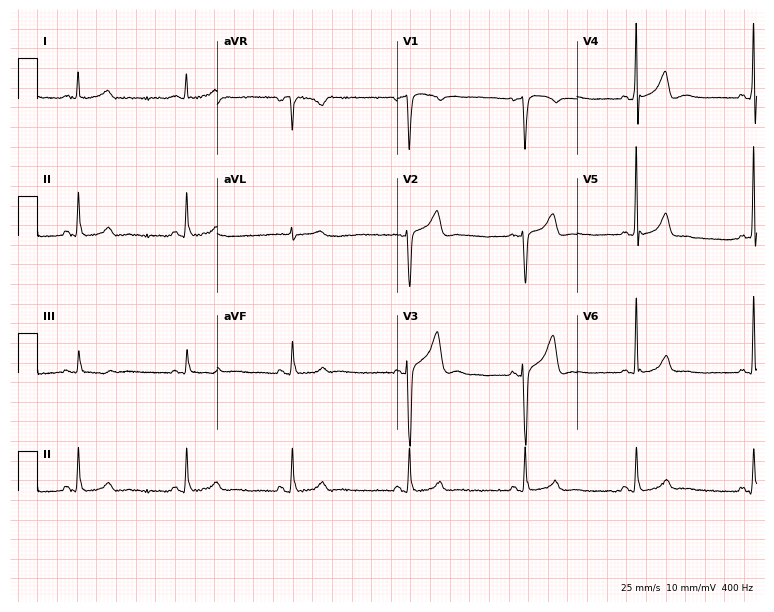
Standard 12-lead ECG recorded from a male patient, 49 years old (7.3-second recording at 400 Hz). None of these six findings is recorded: first-degree AV block, right bundle branch block, left bundle branch block, sinus bradycardia, atrial fibrillation, sinus tachycardia.